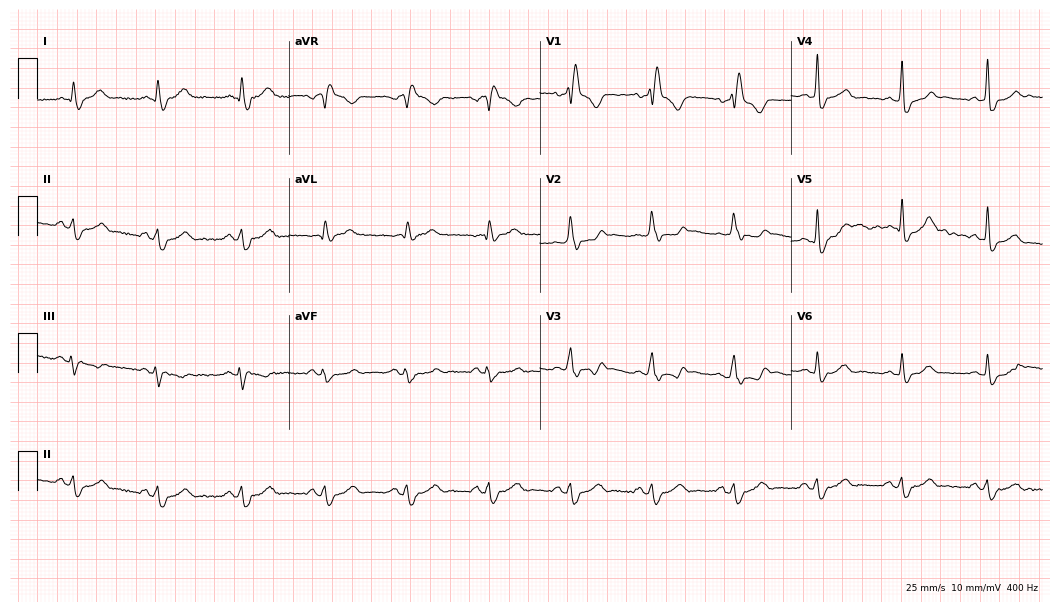
12-lead ECG from a man, 51 years old (10.2-second recording at 400 Hz). Shows right bundle branch block.